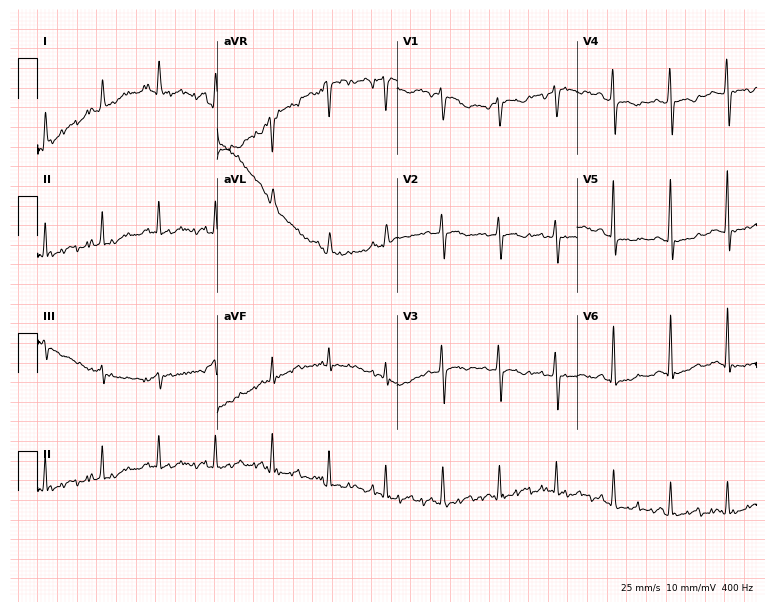
Resting 12-lead electrocardiogram (7.3-second recording at 400 Hz). Patient: a woman, 49 years old. The tracing shows sinus tachycardia (a sinus rate of 100 beats per minute or more).